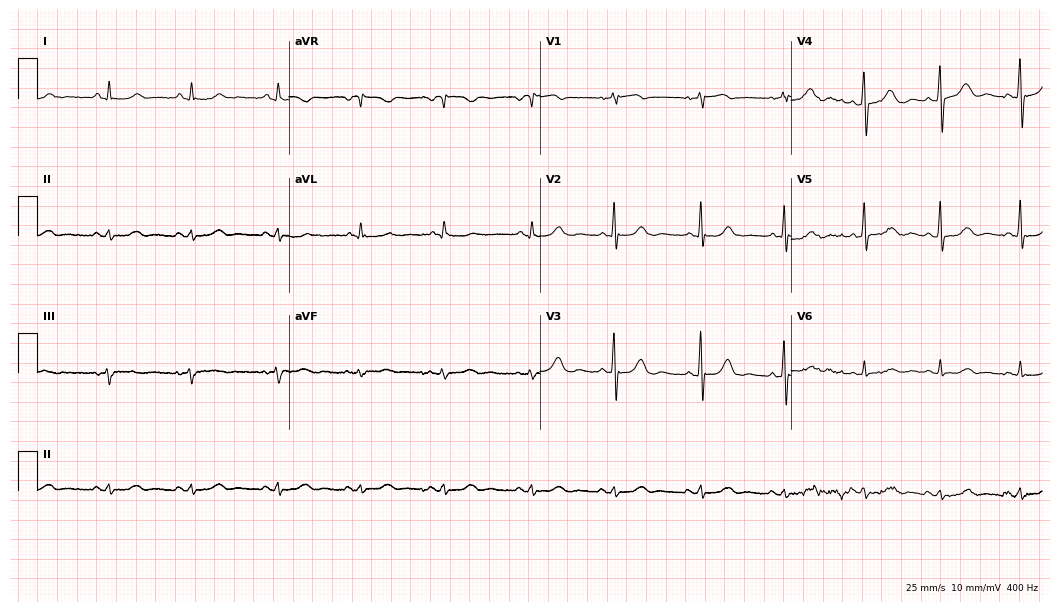
12-lead ECG from a female, 64 years old. Screened for six findings — first-degree AV block, right bundle branch block, left bundle branch block, sinus bradycardia, atrial fibrillation, sinus tachycardia — none is recorded. Only these six findings were labelled.